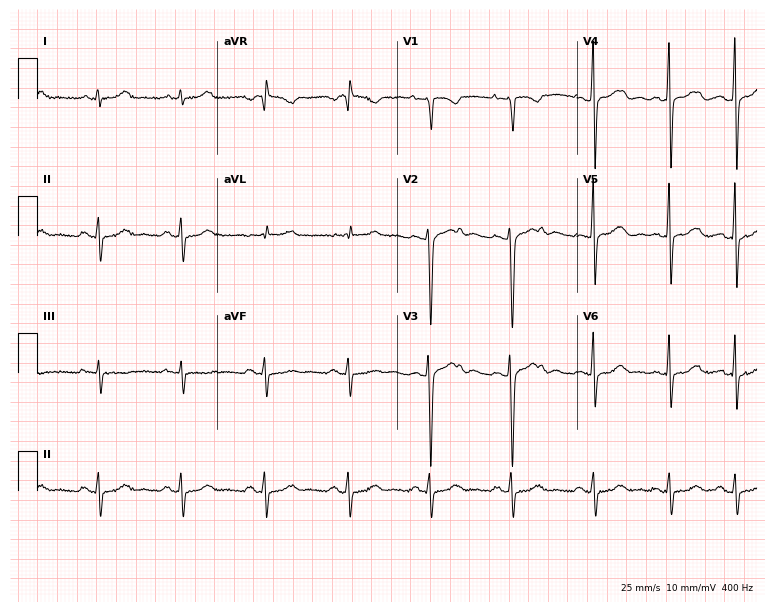
Electrocardiogram, a 39-year-old woman. Of the six screened findings (first-degree AV block, right bundle branch block (RBBB), left bundle branch block (LBBB), sinus bradycardia, atrial fibrillation (AF), sinus tachycardia), none is recorded. Only these six findings were labelled.